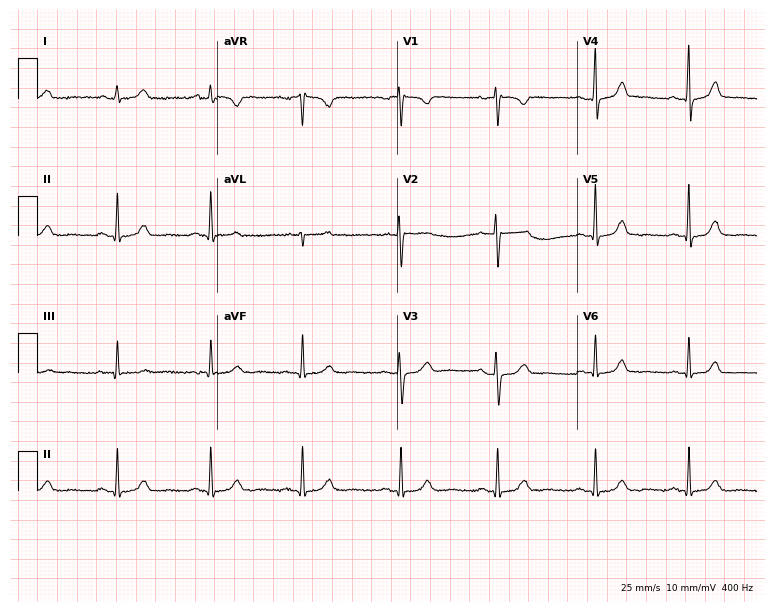
ECG (7.3-second recording at 400 Hz) — a female, 43 years old. Labelled as a normal ECG.